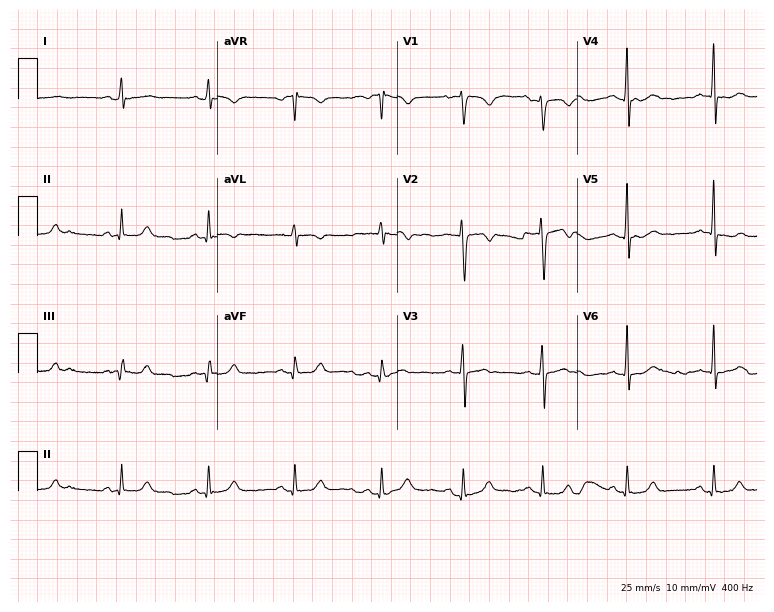
Resting 12-lead electrocardiogram. Patient: a 28-year-old woman. None of these six findings is recorded: first-degree AV block, right bundle branch block, left bundle branch block, sinus bradycardia, atrial fibrillation, sinus tachycardia. Findings outside these six are not listed.